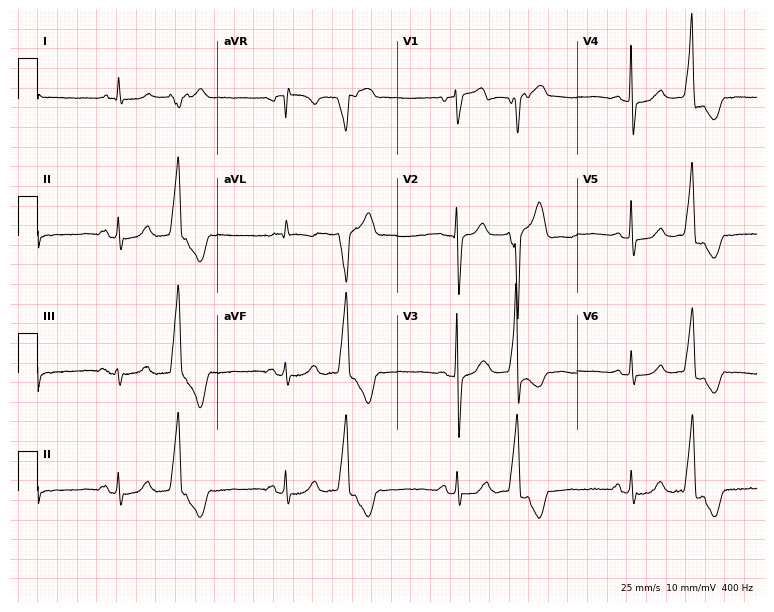
Standard 12-lead ECG recorded from a 78-year-old male patient (7.3-second recording at 400 Hz). None of these six findings is recorded: first-degree AV block, right bundle branch block (RBBB), left bundle branch block (LBBB), sinus bradycardia, atrial fibrillation (AF), sinus tachycardia.